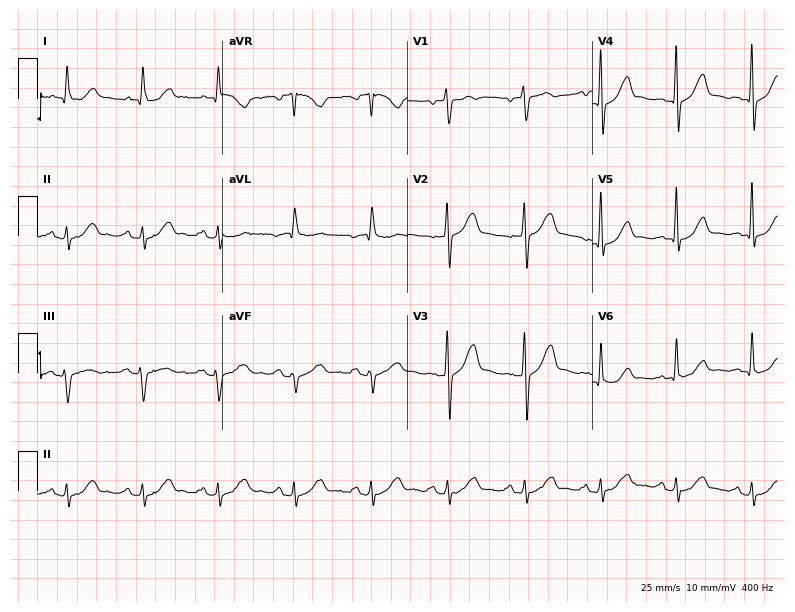
ECG — a man, 64 years old. Labelled as a normal ECG.